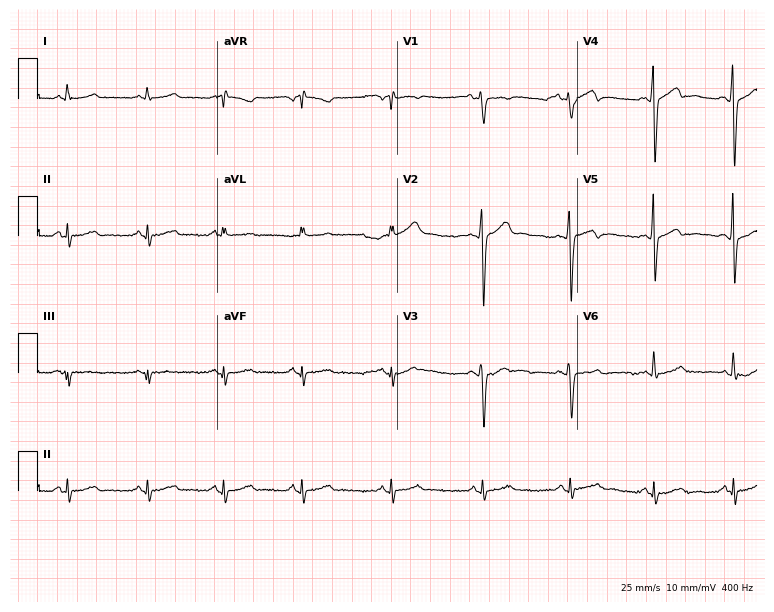
12-lead ECG from a 39-year-old male patient (7.3-second recording at 400 Hz). Recorded interpretation: within normal limits.